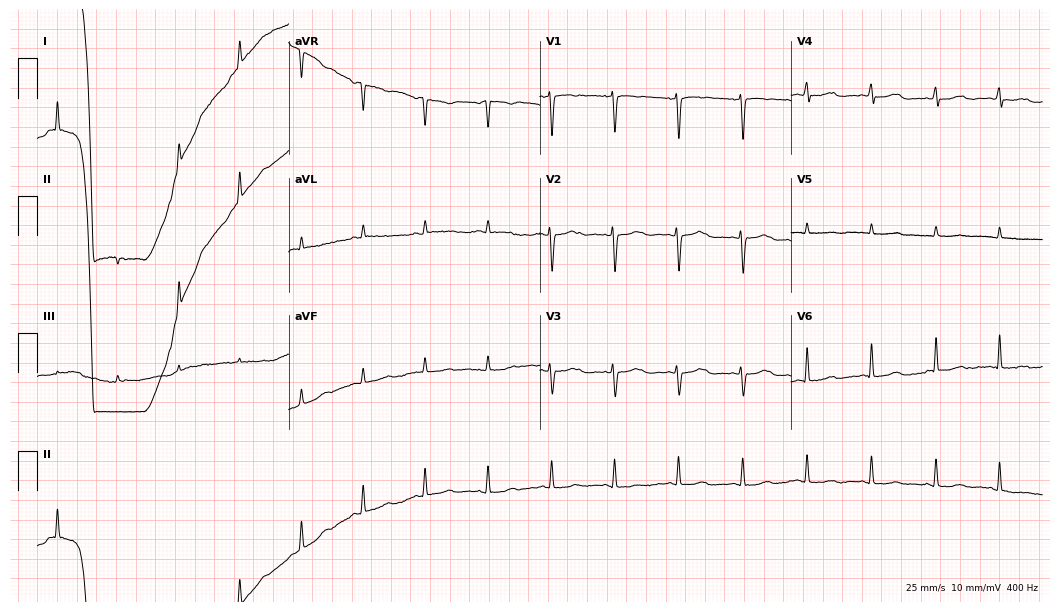
Standard 12-lead ECG recorded from a female patient, 34 years old. None of these six findings is recorded: first-degree AV block, right bundle branch block (RBBB), left bundle branch block (LBBB), sinus bradycardia, atrial fibrillation (AF), sinus tachycardia.